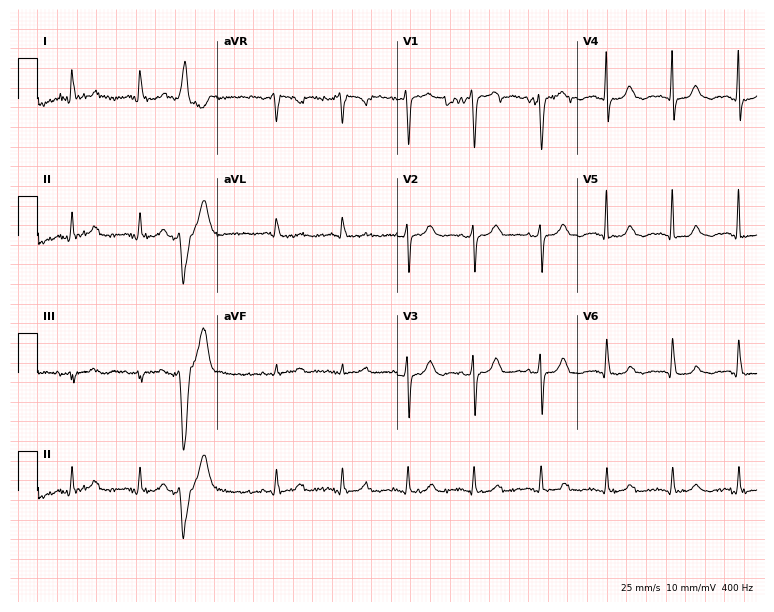
ECG — a female, 68 years old. Screened for six findings — first-degree AV block, right bundle branch block, left bundle branch block, sinus bradycardia, atrial fibrillation, sinus tachycardia — none is recorded. Other findings, if any, are not listed.